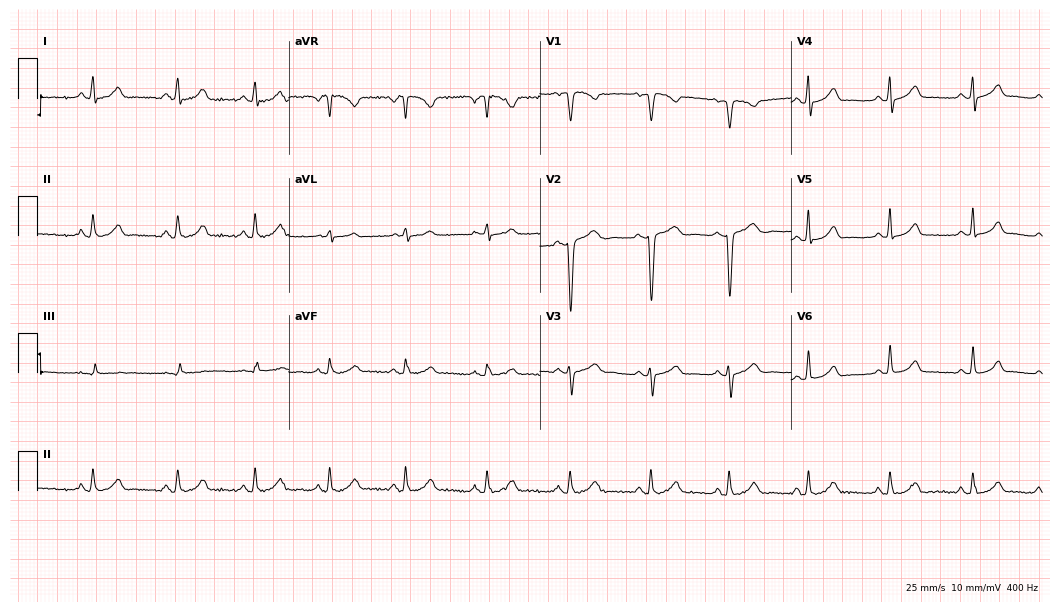
Standard 12-lead ECG recorded from a 19-year-old female (10.2-second recording at 400 Hz). Read as a normal ECG.